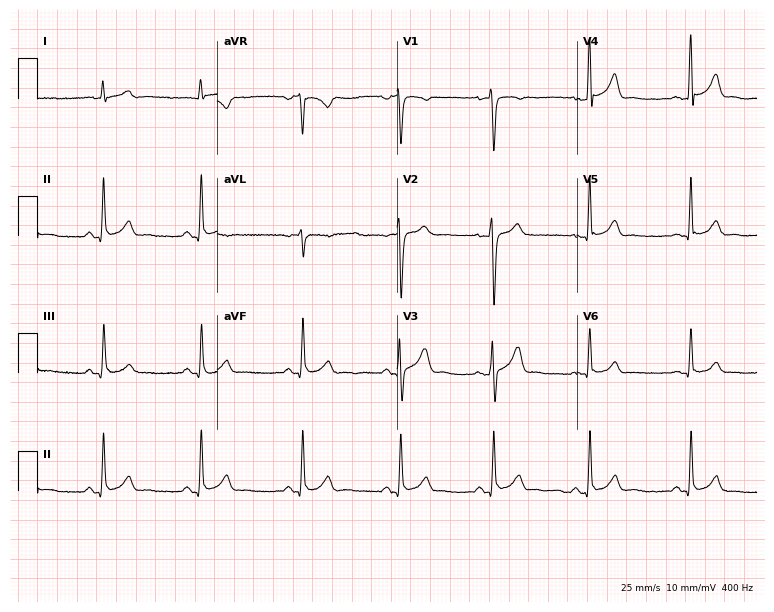
Resting 12-lead electrocardiogram (7.3-second recording at 400 Hz). Patient: a 39-year-old male. Read as a normal ECG.